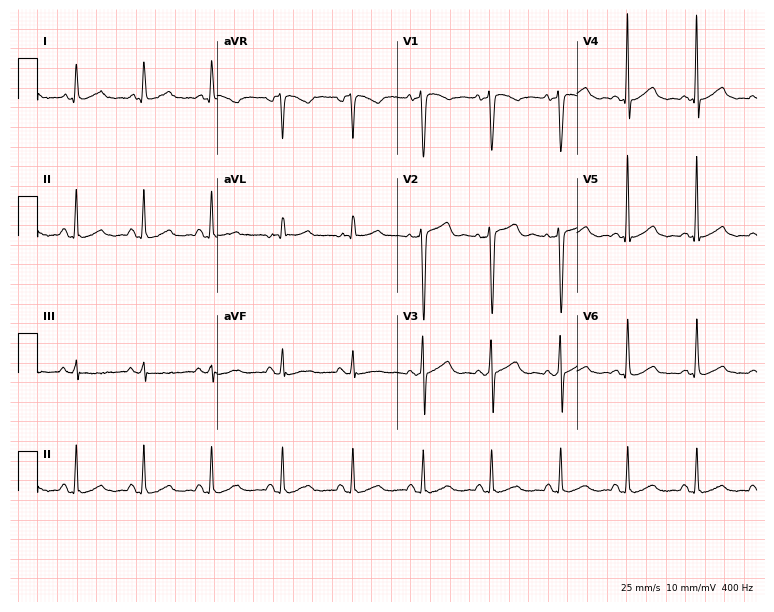
12-lead ECG from a woman, 59 years old. Recorded interpretation: within normal limits.